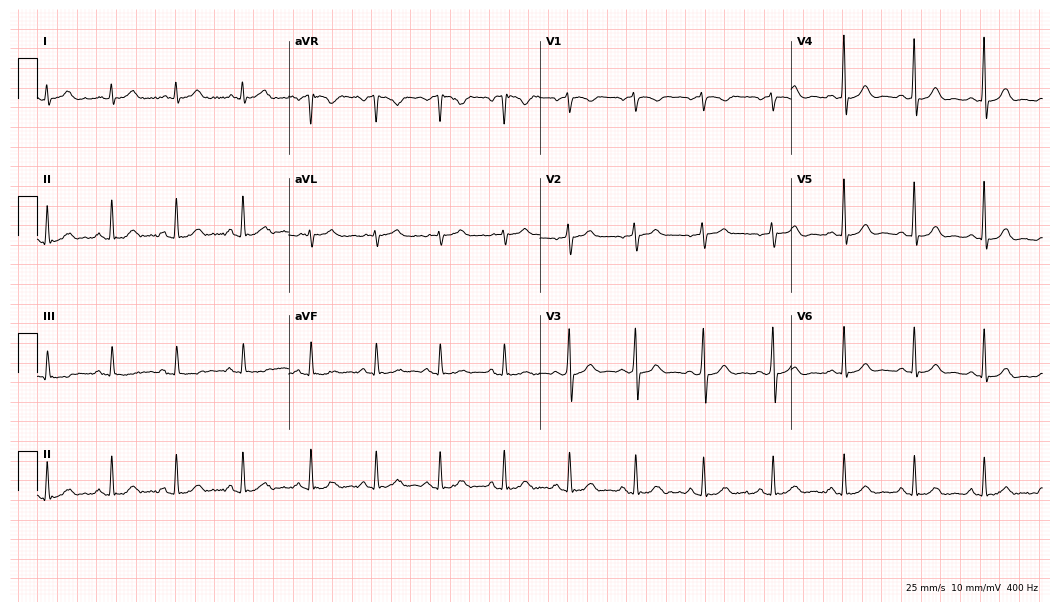
Resting 12-lead electrocardiogram. Patient: a male, 60 years old. Read as a normal ECG.